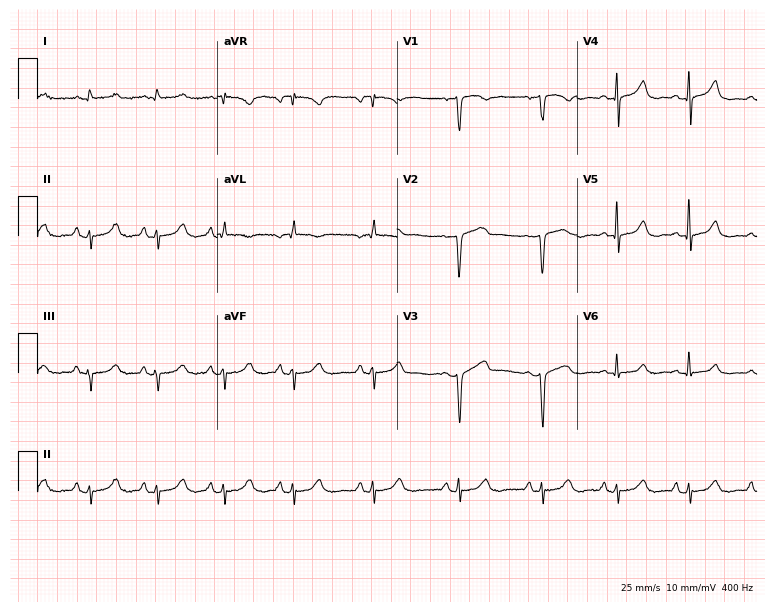
12-lead ECG (7.3-second recording at 400 Hz) from a woman, 64 years old. Screened for six findings — first-degree AV block, right bundle branch block, left bundle branch block, sinus bradycardia, atrial fibrillation, sinus tachycardia — none is recorded.